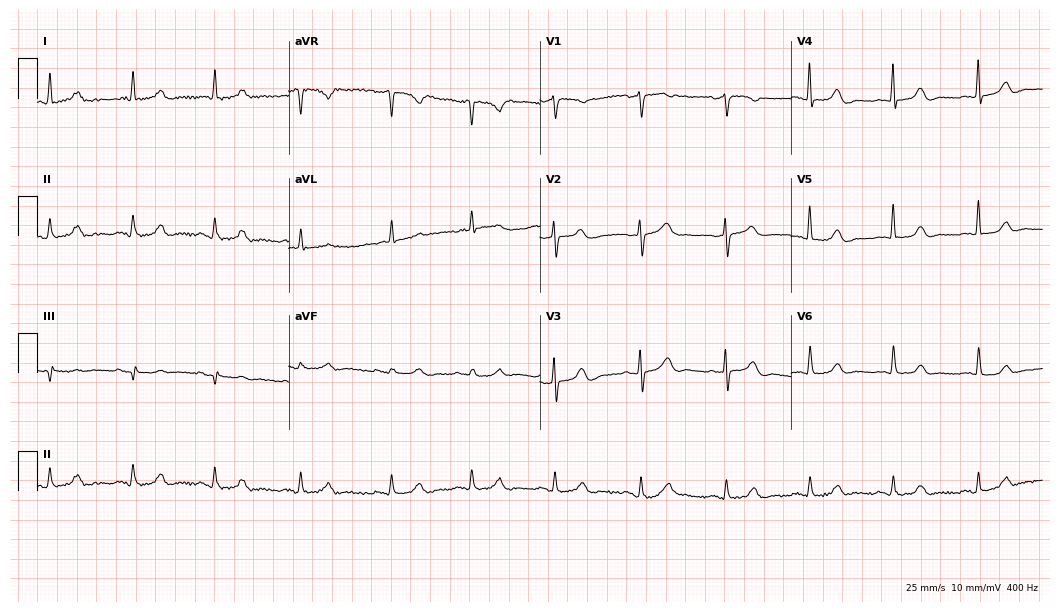
Standard 12-lead ECG recorded from a female patient, 86 years old. Read as a normal ECG.